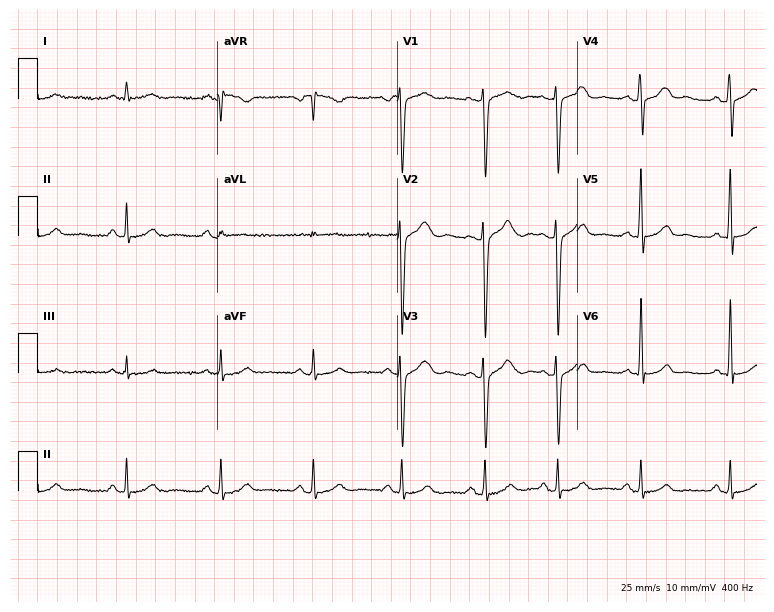
12-lead ECG from a 35-year-old male patient. Labelled as a normal ECG.